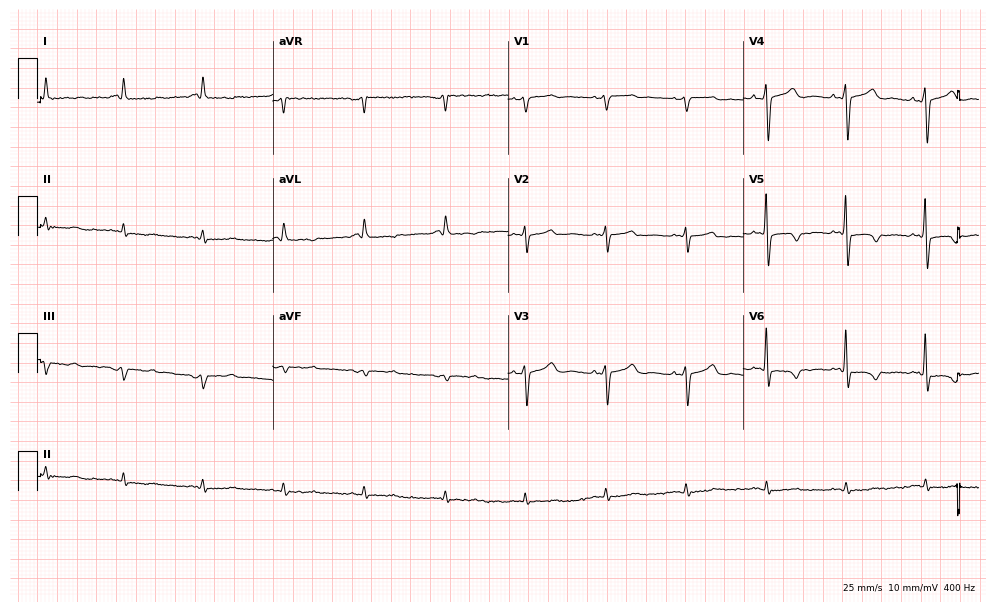
12-lead ECG from a 65-year-old man. Screened for six findings — first-degree AV block, right bundle branch block, left bundle branch block, sinus bradycardia, atrial fibrillation, sinus tachycardia — none is recorded.